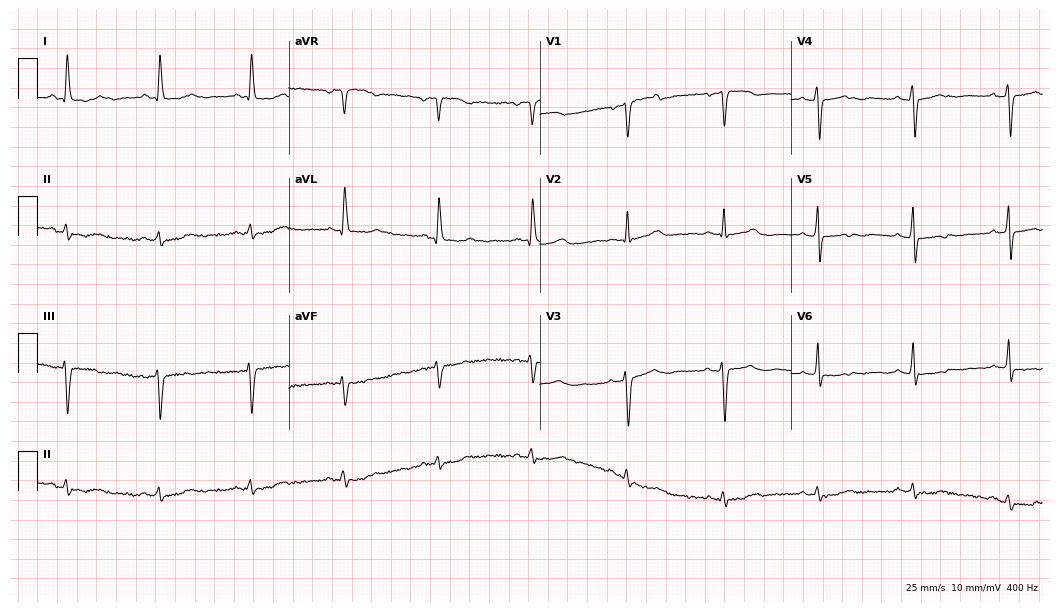
Standard 12-lead ECG recorded from a male patient, 78 years old. None of these six findings is recorded: first-degree AV block, right bundle branch block (RBBB), left bundle branch block (LBBB), sinus bradycardia, atrial fibrillation (AF), sinus tachycardia. Only these six findings were labelled.